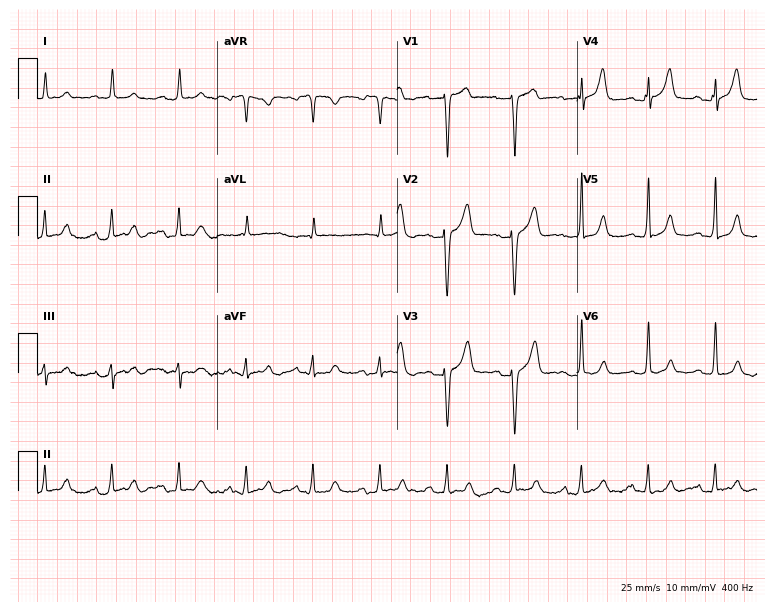
Resting 12-lead electrocardiogram. Patient: a woman, 76 years old. None of these six findings is recorded: first-degree AV block, right bundle branch block (RBBB), left bundle branch block (LBBB), sinus bradycardia, atrial fibrillation (AF), sinus tachycardia.